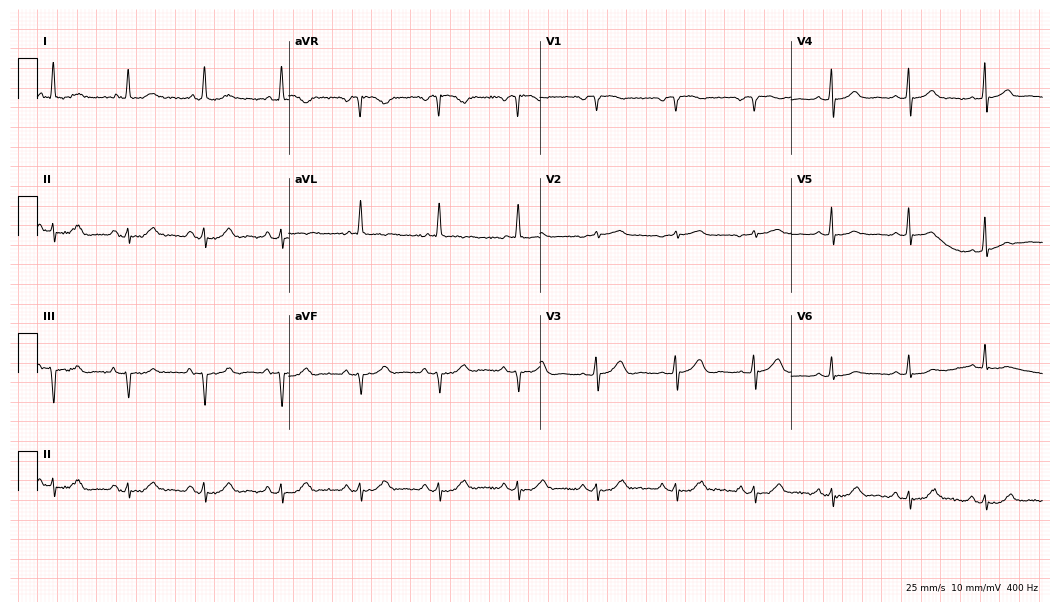
Electrocardiogram, a 79-year-old female. Of the six screened findings (first-degree AV block, right bundle branch block, left bundle branch block, sinus bradycardia, atrial fibrillation, sinus tachycardia), none is recorded.